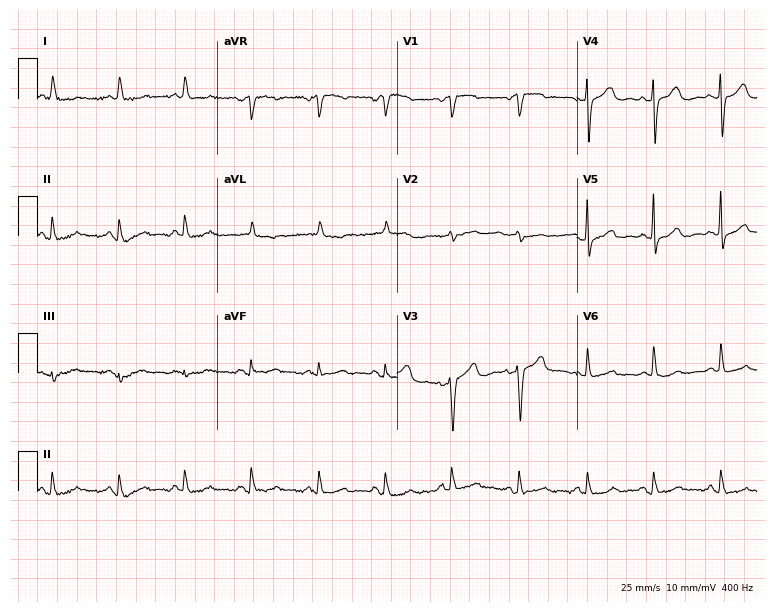
12-lead ECG (7.3-second recording at 400 Hz) from an 82-year-old woman. Screened for six findings — first-degree AV block, right bundle branch block, left bundle branch block, sinus bradycardia, atrial fibrillation, sinus tachycardia — none is recorded.